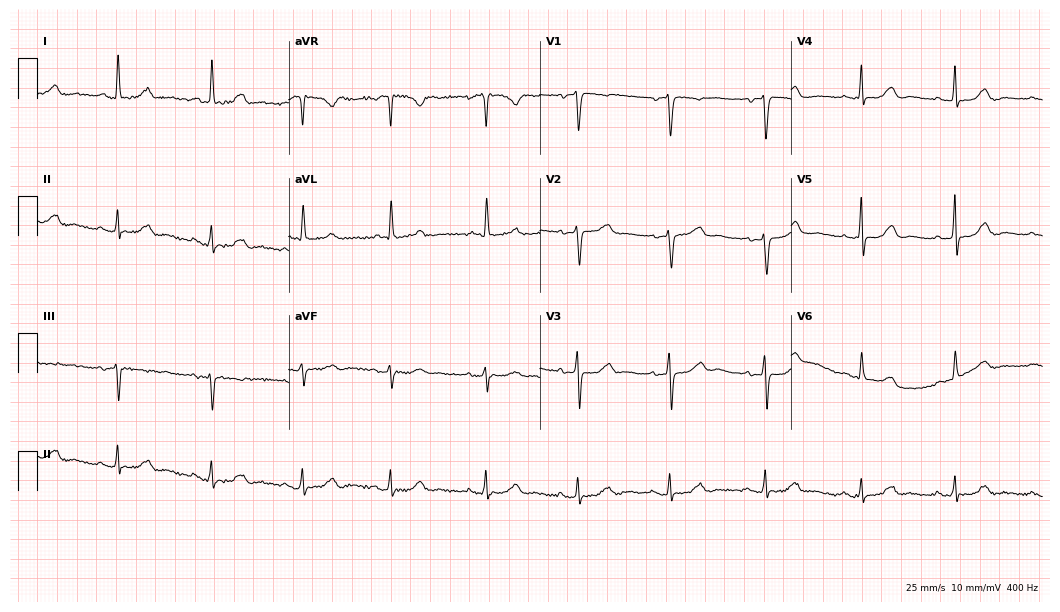
Standard 12-lead ECG recorded from a woman, 64 years old (10.2-second recording at 400 Hz). Read as a normal ECG.